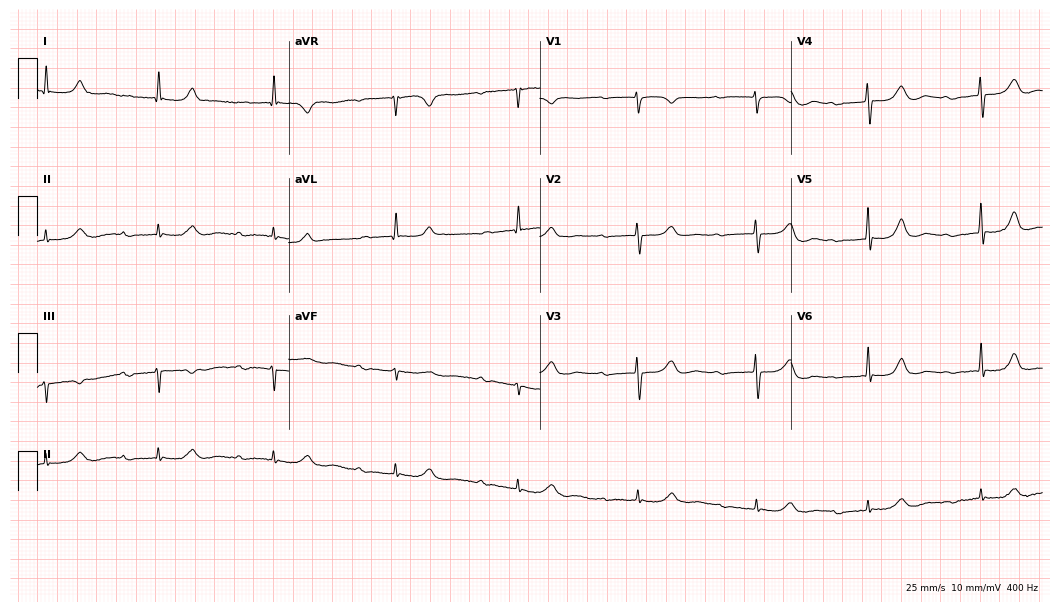
Electrocardiogram (10.2-second recording at 400 Hz), an 80-year-old female. Interpretation includes first-degree AV block.